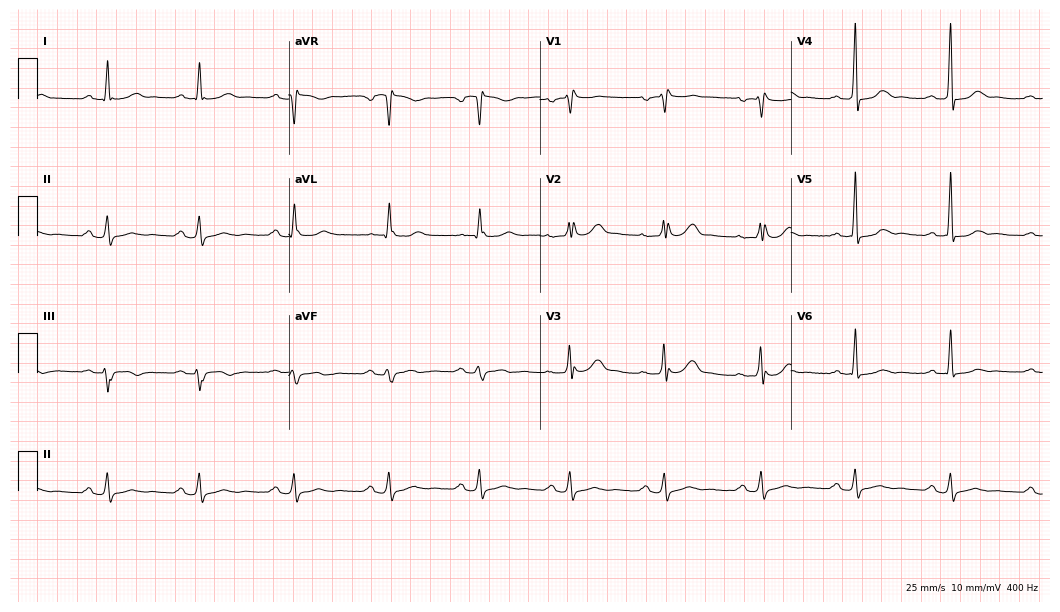
Standard 12-lead ECG recorded from a man, 50 years old (10.2-second recording at 400 Hz). None of these six findings is recorded: first-degree AV block, right bundle branch block (RBBB), left bundle branch block (LBBB), sinus bradycardia, atrial fibrillation (AF), sinus tachycardia. Other findings, if any, are not listed.